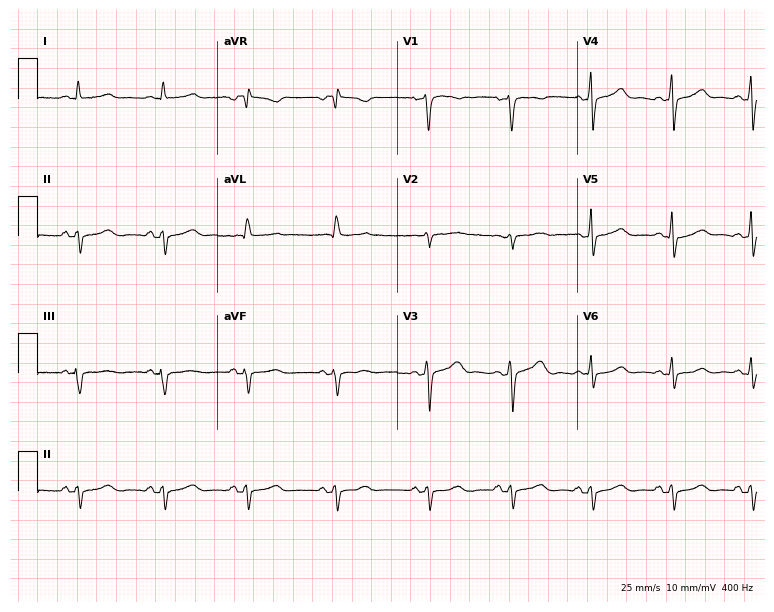
Electrocardiogram, a 41-year-old female. Of the six screened findings (first-degree AV block, right bundle branch block, left bundle branch block, sinus bradycardia, atrial fibrillation, sinus tachycardia), none is recorded. Other findings, if any, are not listed.